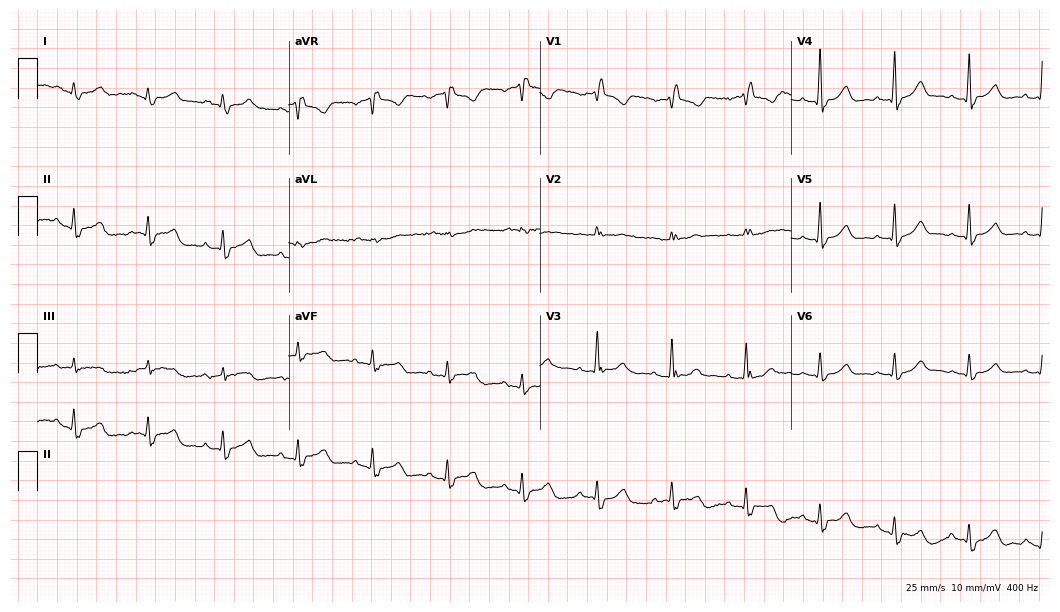
Standard 12-lead ECG recorded from a 79-year-old woman. The tracing shows right bundle branch block (RBBB).